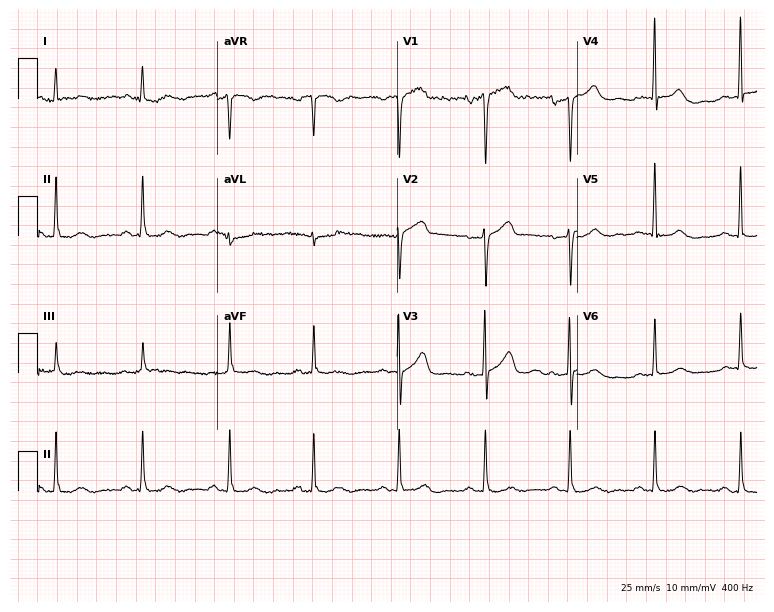
Standard 12-lead ECG recorded from a male, 63 years old (7.3-second recording at 400 Hz). None of these six findings is recorded: first-degree AV block, right bundle branch block, left bundle branch block, sinus bradycardia, atrial fibrillation, sinus tachycardia.